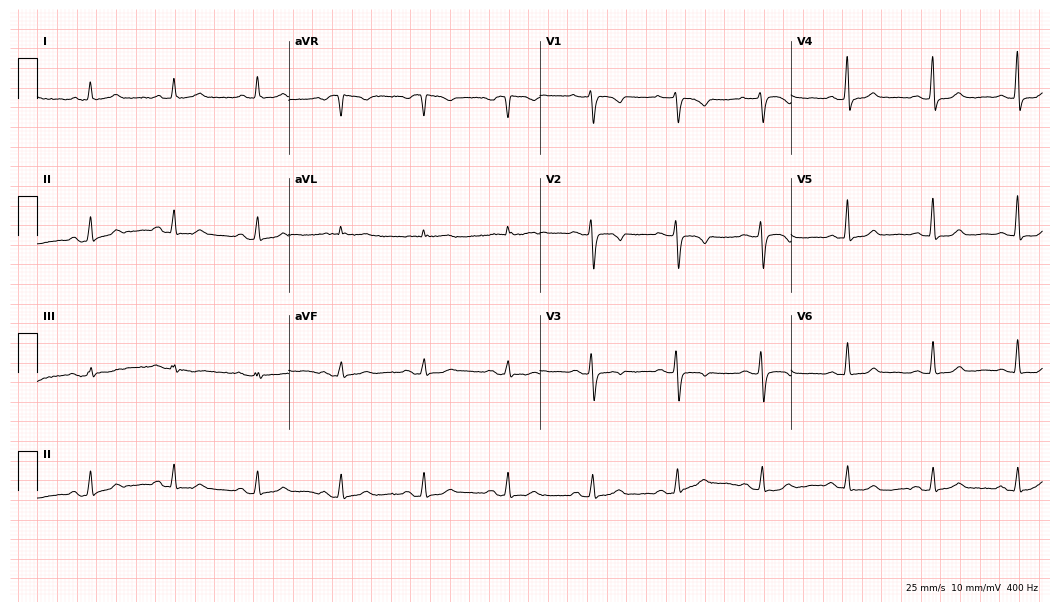
Electrocardiogram (10.2-second recording at 400 Hz), a female, 76 years old. Of the six screened findings (first-degree AV block, right bundle branch block, left bundle branch block, sinus bradycardia, atrial fibrillation, sinus tachycardia), none is recorded.